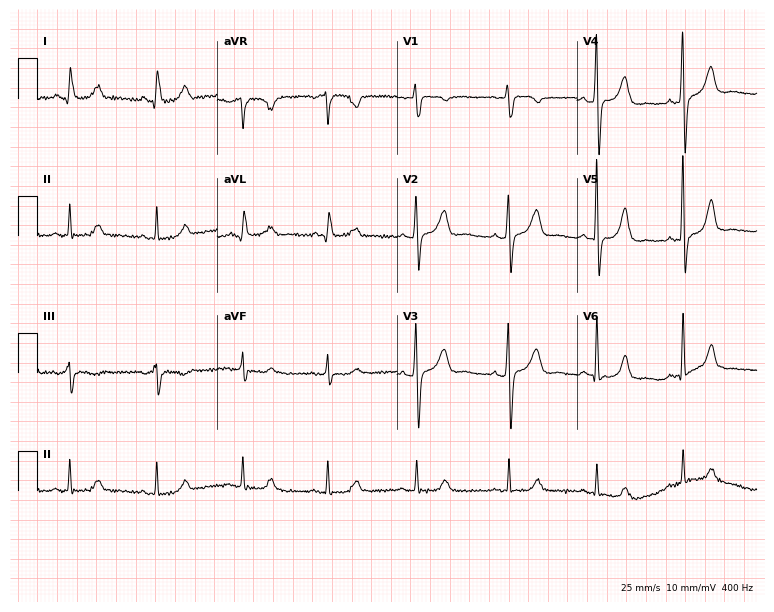
12-lead ECG from a woman, 60 years old (7.3-second recording at 400 Hz). No first-degree AV block, right bundle branch block, left bundle branch block, sinus bradycardia, atrial fibrillation or sinus tachycardia recorded for this tracing.